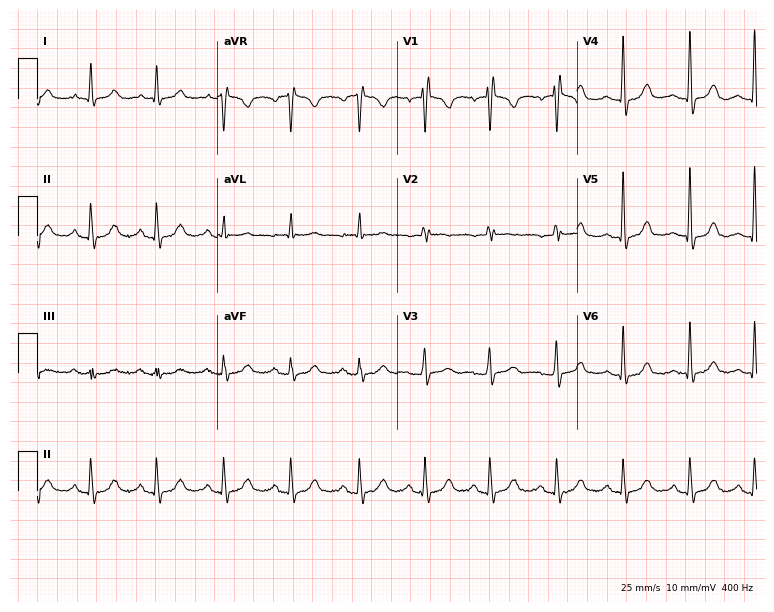
12-lead ECG from a 63-year-old woman (7.3-second recording at 400 Hz). No first-degree AV block, right bundle branch block (RBBB), left bundle branch block (LBBB), sinus bradycardia, atrial fibrillation (AF) or sinus tachycardia recorded for this tracing. Other findings, if any, are not listed.